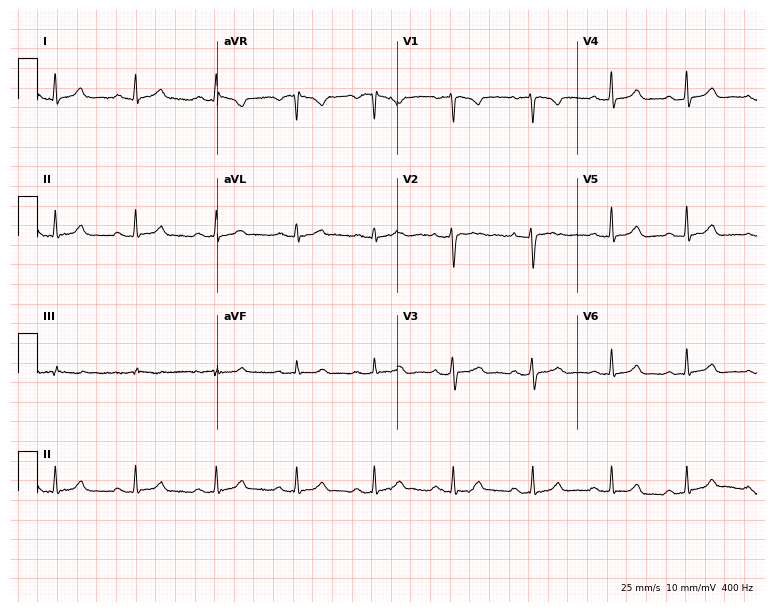
Resting 12-lead electrocardiogram. Patient: a female, 23 years old. Read as a normal ECG.